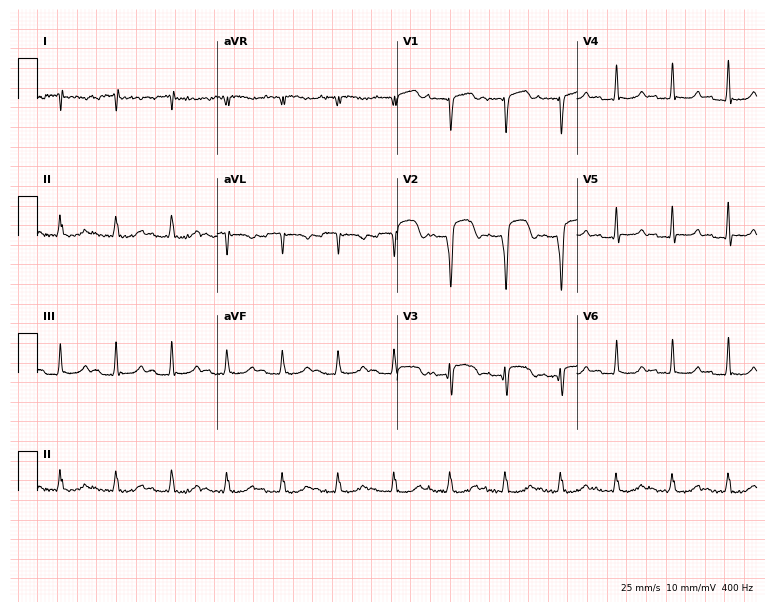
Resting 12-lead electrocardiogram (7.3-second recording at 400 Hz). Patient: a 38-year-old female. The tracing shows sinus tachycardia (a sinus rate of 100 beats per minute or more).